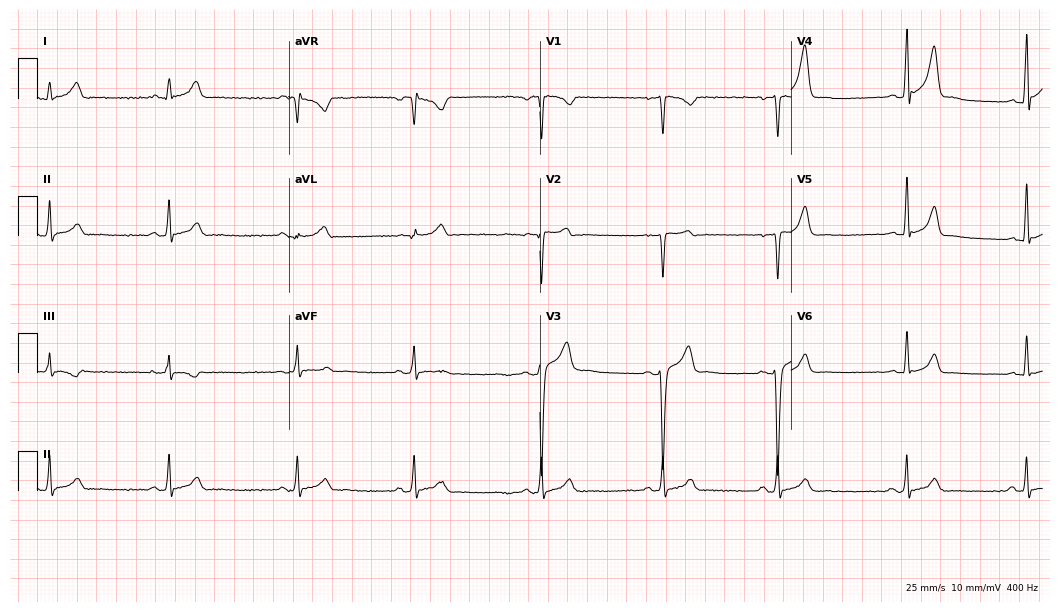
12-lead ECG (10.2-second recording at 400 Hz) from a male, 19 years old. Findings include sinus bradycardia (a sinus rate of 50 beats per minute or less).